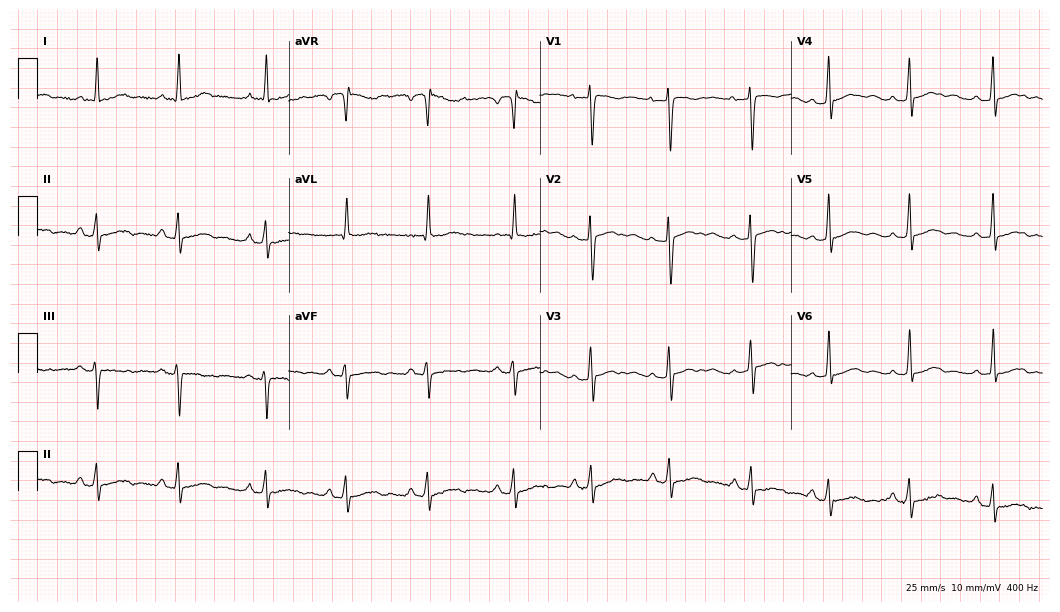
ECG (10.2-second recording at 400 Hz) — a female patient, 33 years old. Screened for six findings — first-degree AV block, right bundle branch block (RBBB), left bundle branch block (LBBB), sinus bradycardia, atrial fibrillation (AF), sinus tachycardia — none is recorded. Findings outside these six are not listed.